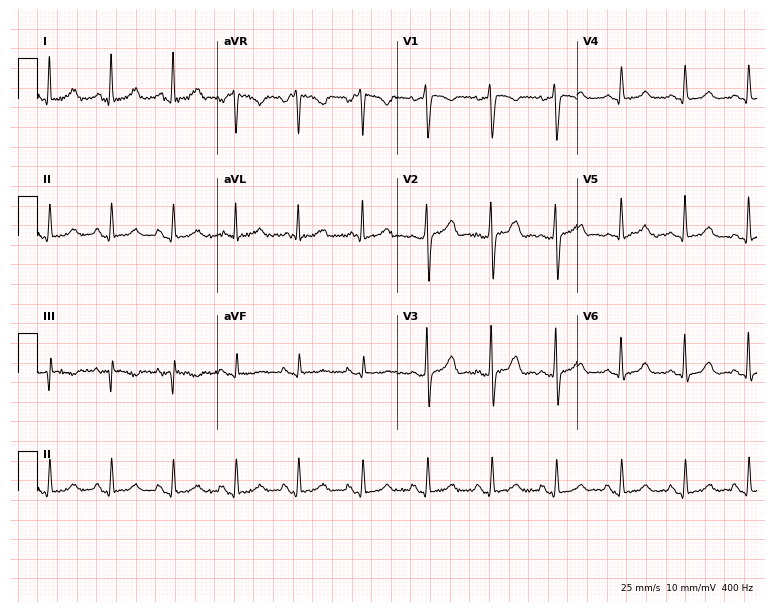
ECG — a 37-year-old woman. Labelled as a normal ECG.